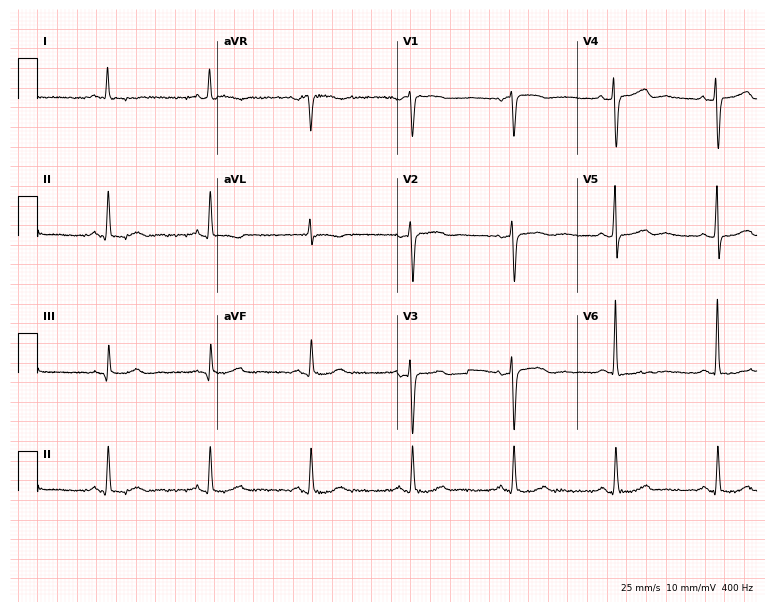
12-lead ECG from a 61-year-old female (7.3-second recording at 400 Hz). No first-degree AV block, right bundle branch block, left bundle branch block, sinus bradycardia, atrial fibrillation or sinus tachycardia recorded for this tracing.